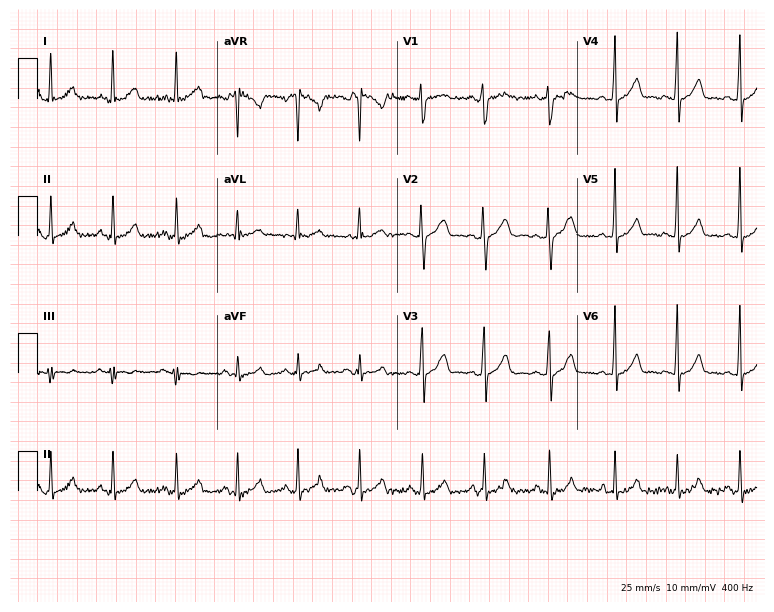
12-lead ECG from an 18-year-old woman (7.3-second recording at 400 Hz). No first-degree AV block, right bundle branch block (RBBB), left bundle branch block (LBBB), sinus bradycardia, atrial fibrillation (AF) or sinus tachycardia recorded for this tracing. Only these six findings were labelled.